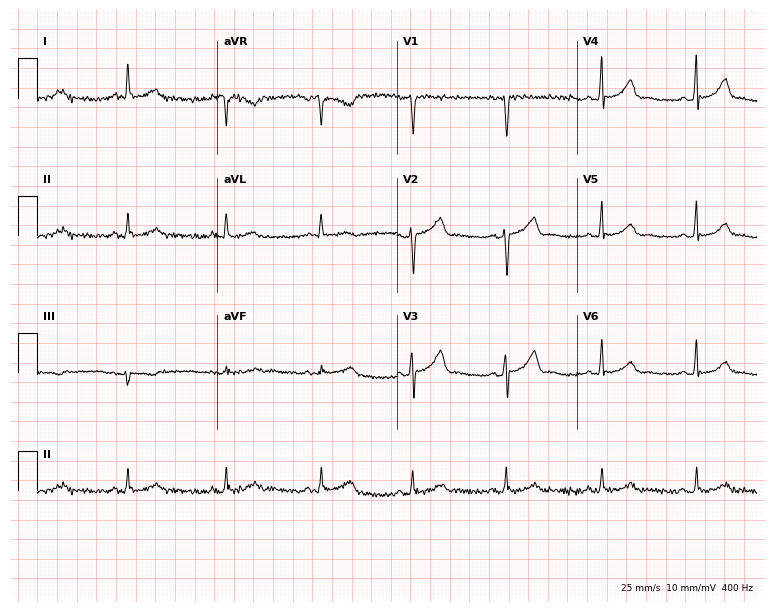
12-lead ECG (7.3-second recording at 400 Hz) from a 42-year-old female patient. Labelled as a normal ECG.